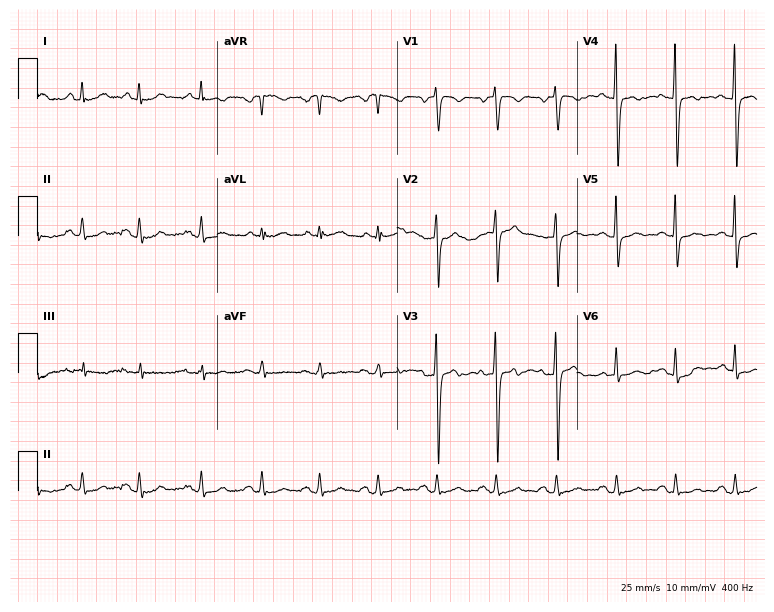
Standard 12-lead ECG recorded from a woman, 53 years old. None of these six findings is recorded: first-degree AV block, right bundle branch block (RBBB), left bundle branch block (LBBB), sinus bradycardia, atrial fibrillation (AF), sinus tachycardia.